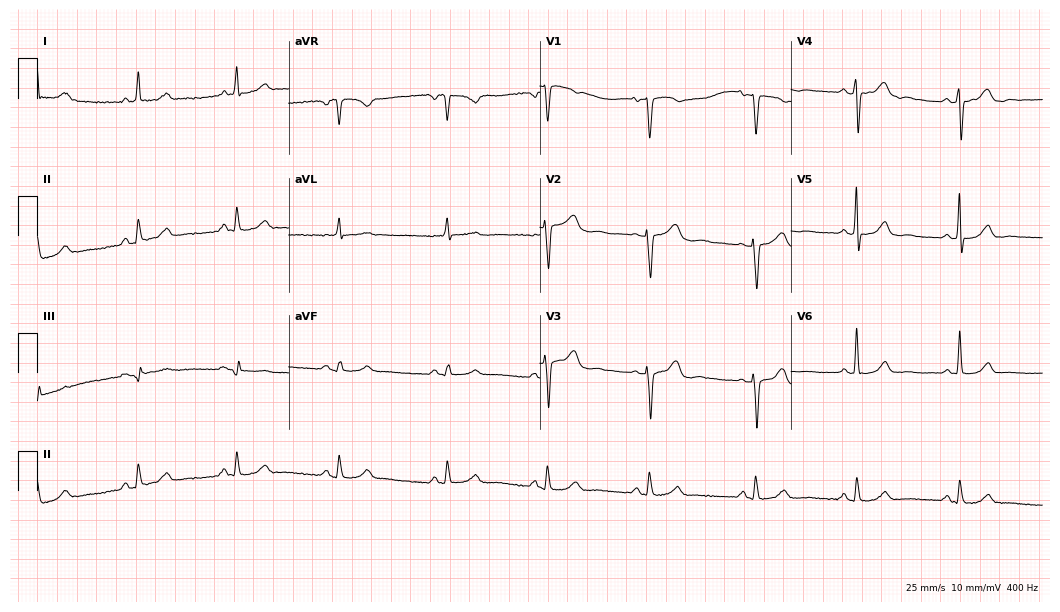
Resting 12-lead electrocardiogram (10.2-second recording at 400 Hz). Patient: a female, 60 years old. Read as a normal ECG.